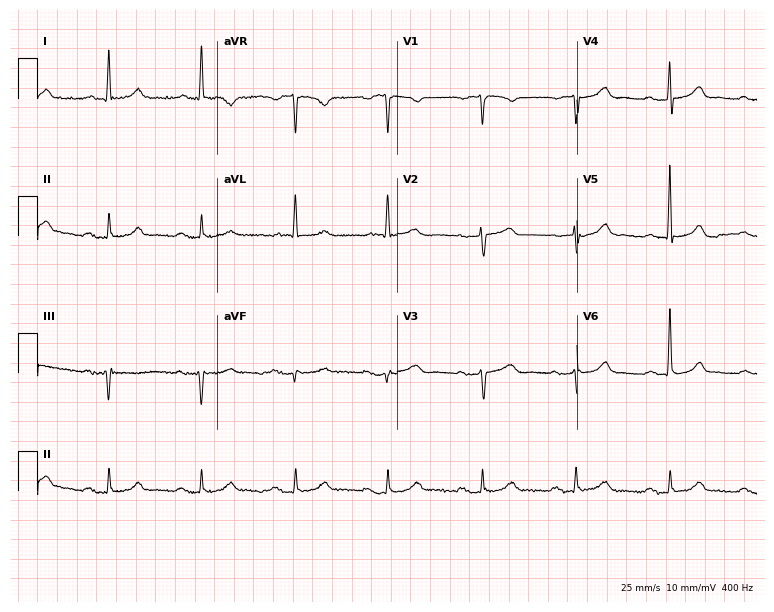
ECG — a woman, 70 years old. Findings include first-degree AV block.